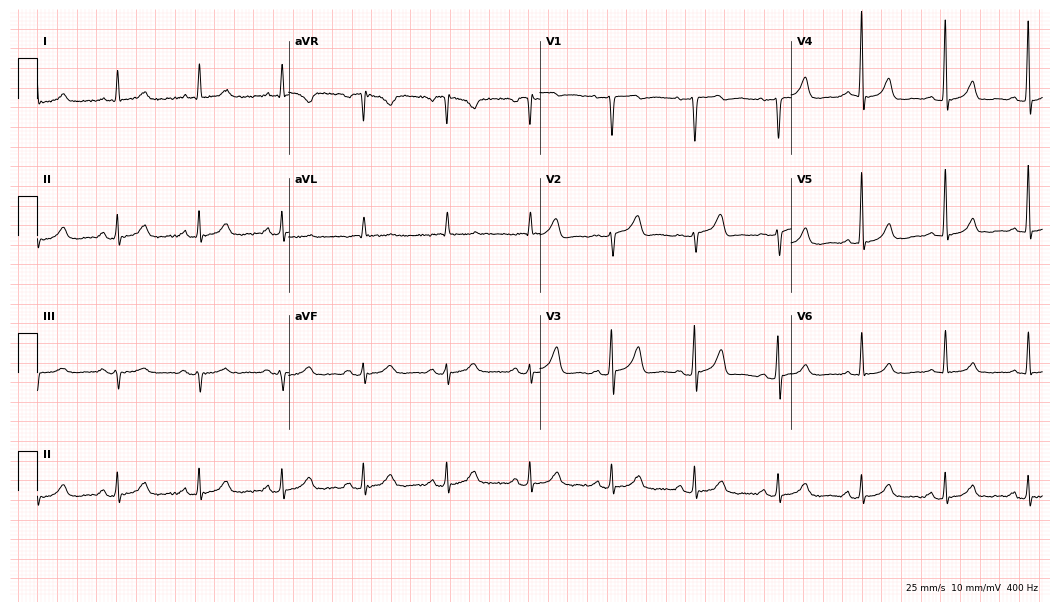
Electrocardiogram (10.2-second recording at 400 Hz), a 62-year-old man. Of the six screened findings (first-degree AV block, right bundle branch block (RBBB), left bundle branch block (LBBB), sinus bradycardia, atrial fibrillation (AF), sinus tachycardia), none is recorded.